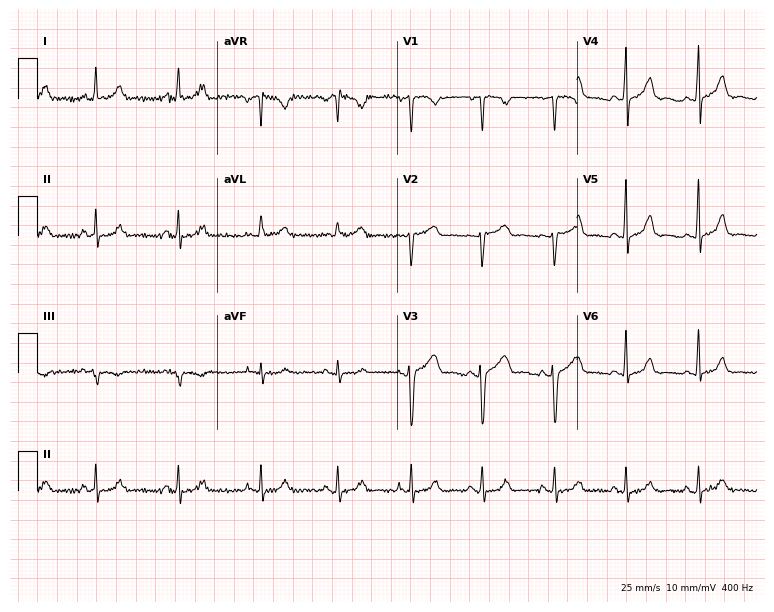
Electrocardiogram (7.3-second recording at 400 Hz), a female, 30 years old. Of the six screened findings (first-degree AV block, right bundle branch block, left bundle branch block, sinus bradycardia, atrial fibrillation, sinus tachycardia), none is recorded.